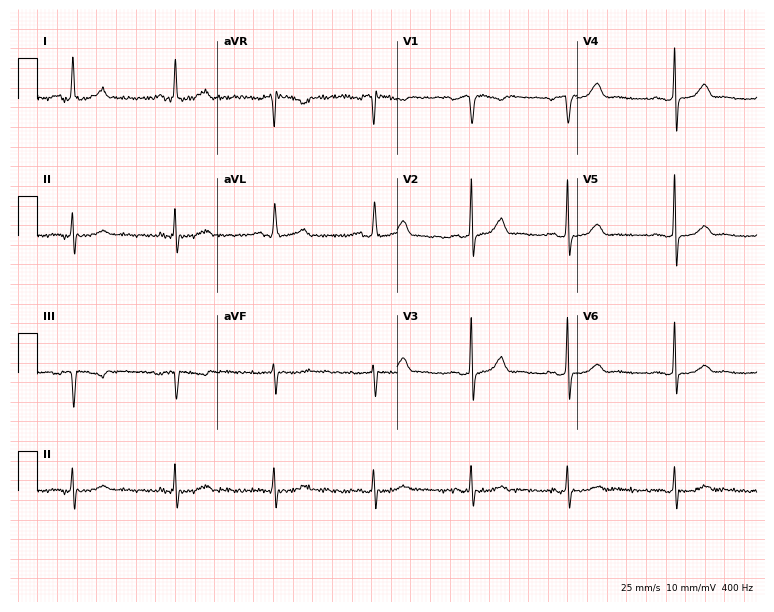
12-lead ECG (7.3-second recording at 400 Hz) from a 67-year-old woman. Screened for six findings — first-degree AV block, right bundle branch block, left bundle branch block, sinus bradycardia, atrial fibrillation, sinus tachycardia — none is recorded. Only these six findings were labelled.